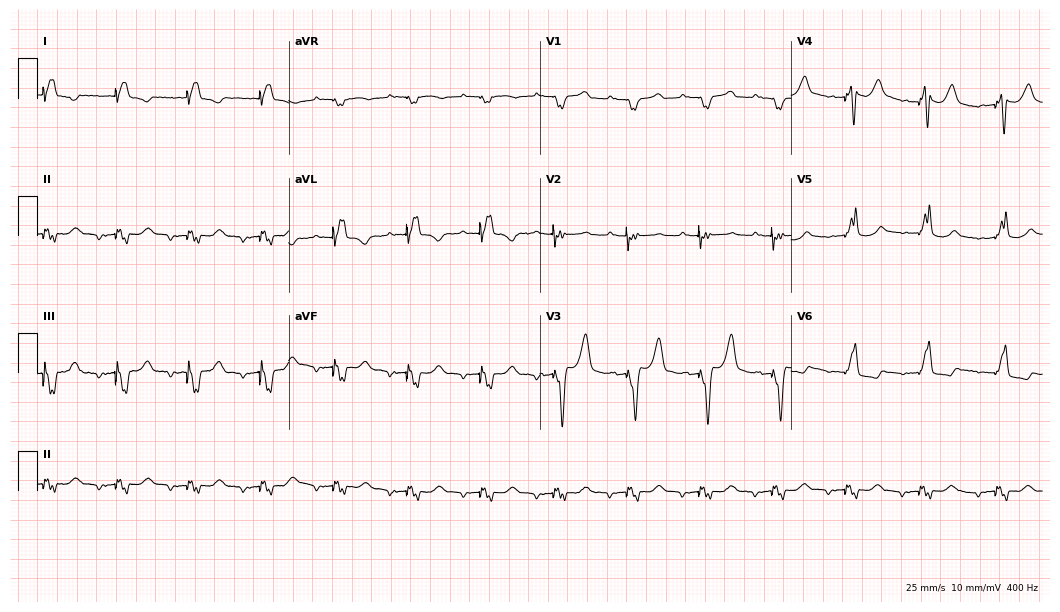
ECG — a male, 66 years old. Screened for six findings — first-degree AV block, right bundle branch block, left bundle branch block, sinus bradycardia, atrial fibrillation, sinus tachycardia — none is recorded.